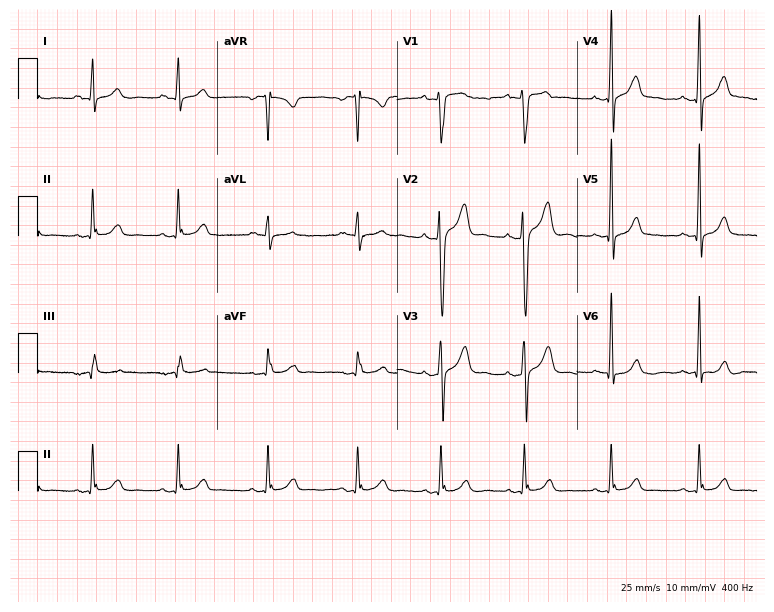
Resting 12-lead electrocardiogram (7.3-second recording at 400 Hz). Patient: a man, 37 years old. Read as a normal ECG.